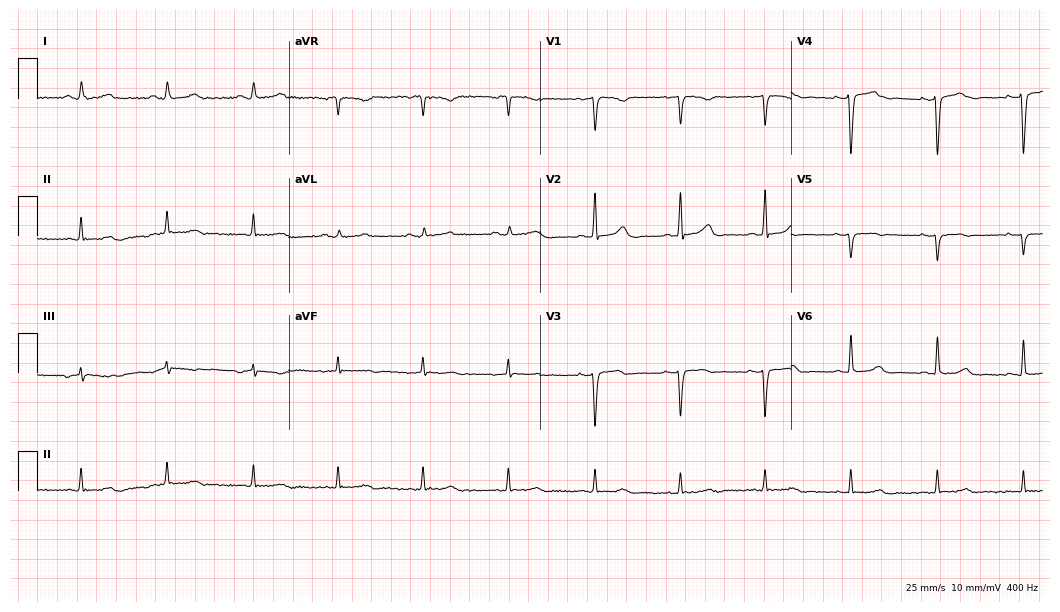
Resting 12-lead electrocardiogram. Patient: a 43-year-old female. None of these six findings is recorded: first-degree AV block, right bundle branch block, left bundle branch block, sinus bradycardia, atrial fibrillation, sinus tachycardia.